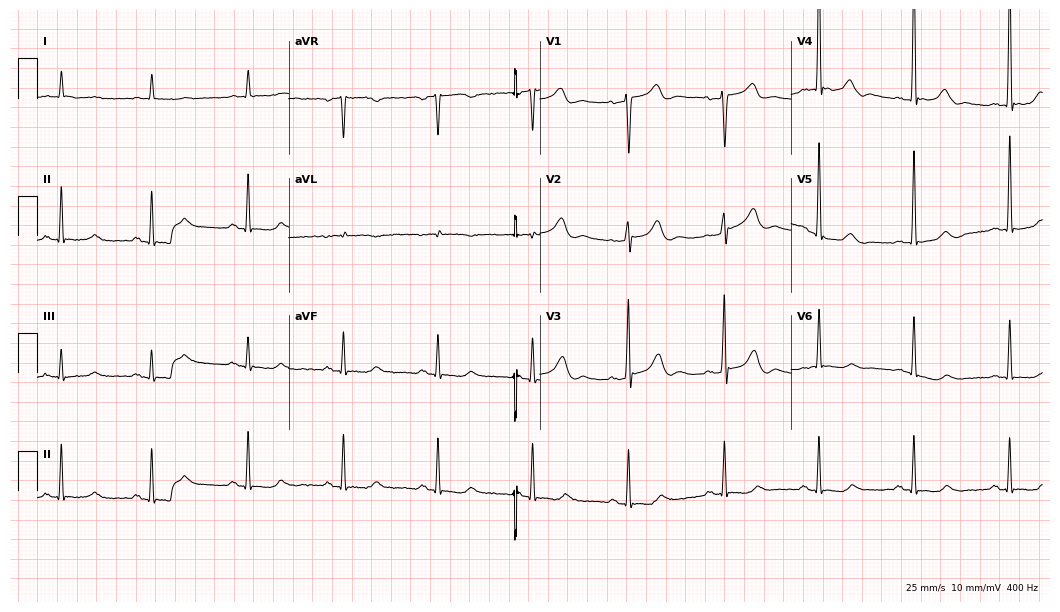
ECG — a male patient, 59 years old. Screened for six findings — first-degree AV block, right bundle branch block, left bundle branch block, sinus bradycardia, atrial fibrillation, sinus tachycardia — none is recorded. Findings outside these six are not listed.